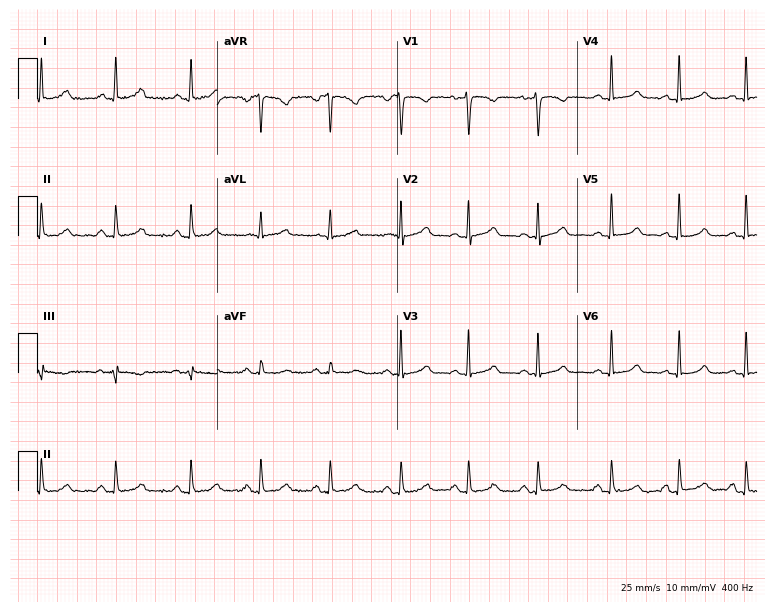
12-lead ECG (7.3-second recording at 400 Hz) from a 32-year-old female patient. Labelled as a normal ECG.